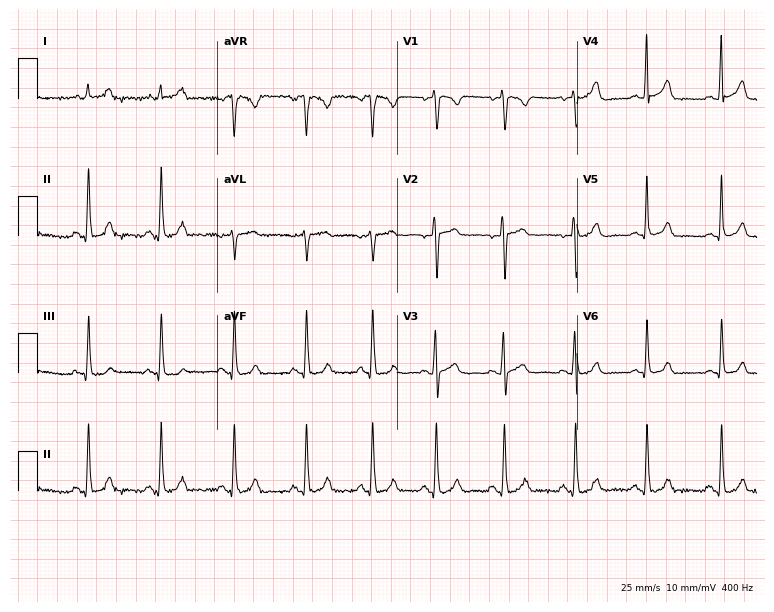
12-lead ECG from a female, 18 years old (7.3-second recording at 400 Hz). Recorded interpretation: within normal limits.